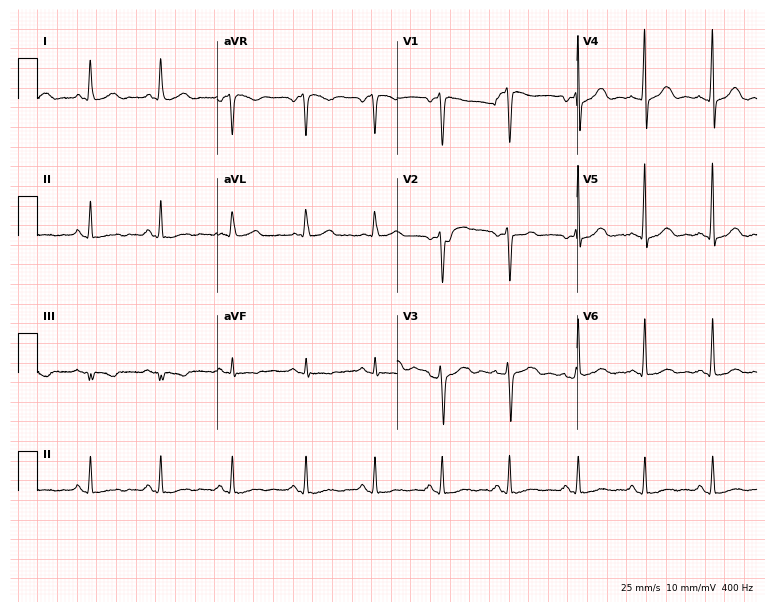
Standard 12-lead ECG recorded from a 32-year-old female patient. Read as a normal ECG.